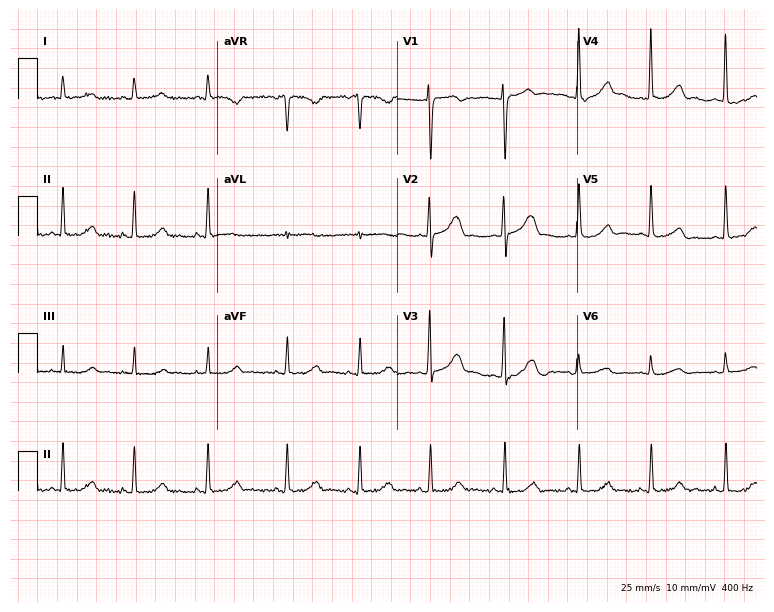
Standard 12-lead ECG recorded from a woman, 43 years old (7.3-second recording at 400 Hz). Read as a normal ECG.